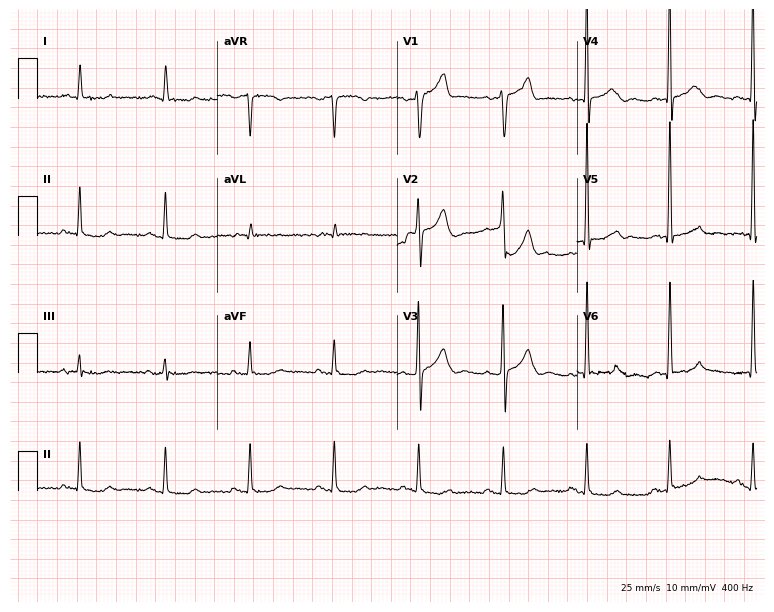
Resting 12-lead electrocardiogram (7.3-second recording at 400 Hz). Patient: a 66-year-old male. None of these six findings is recorded: first-degree AV block, right bundle branch block, left bundle branch block, sinus bradycardia, atrial fibrillation, sinus tachycardia. Findings outside these six are not listed.